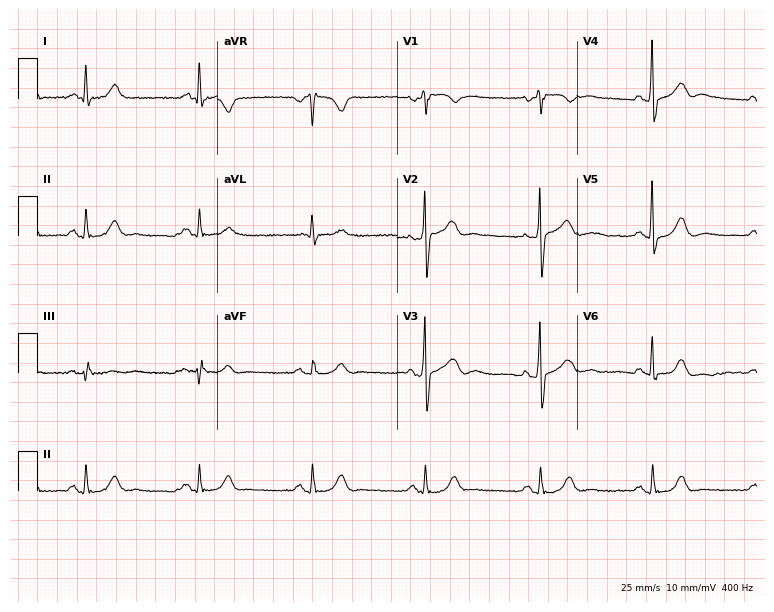
Electrocardiogram, a 67-year-old man. Overall reading on record: normal ECG.